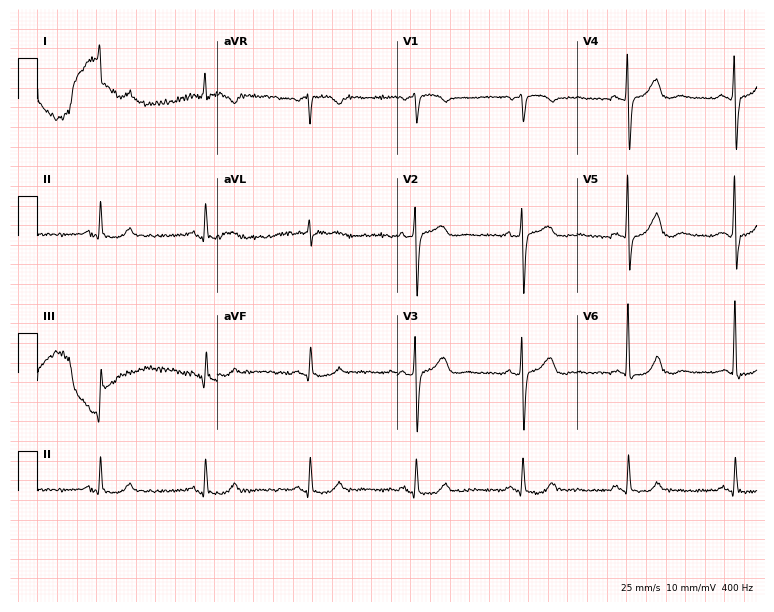
12-lead ECG (7.3-second recording at 400 Hz) from a woman, 74 years old. Labelled as a normal ECG.